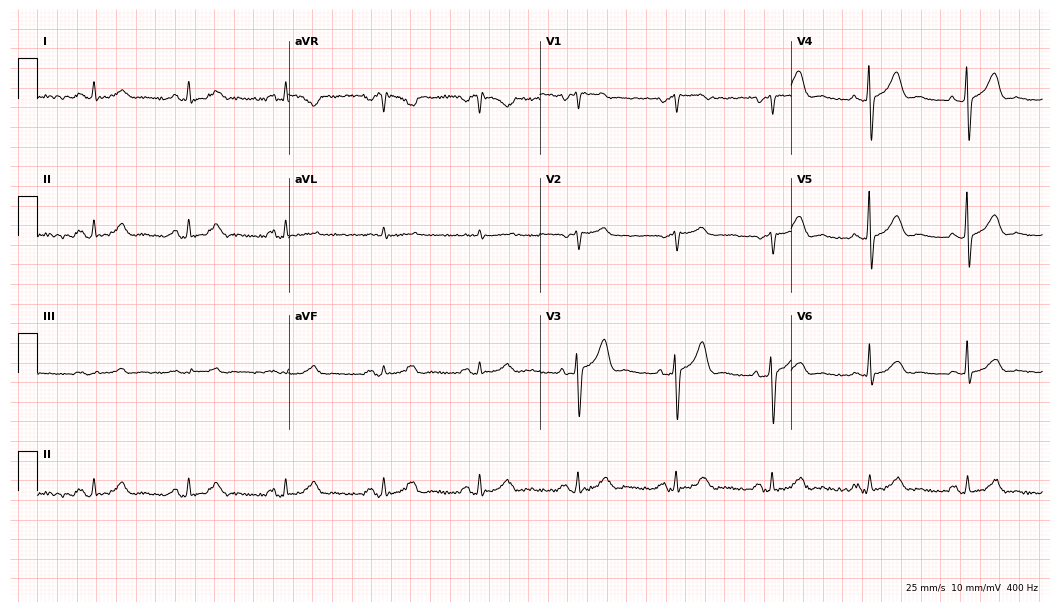
Resting 12-lead electrocardiogram (10.2-second recording at 400 Hz). Patient: a 64-year-old male. Read as a normal ECG.